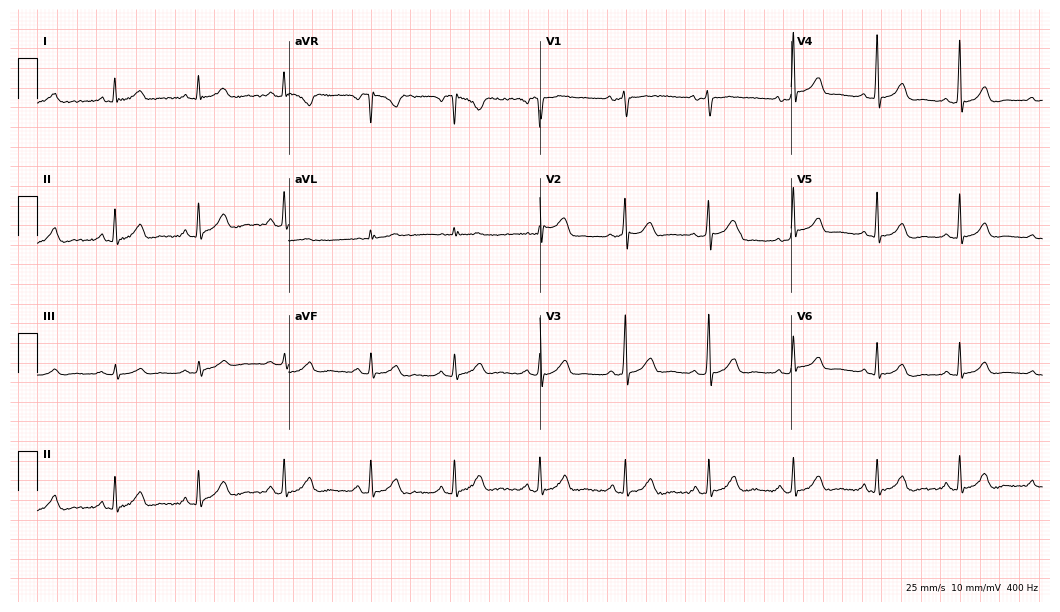
12-lead ECG from a 44-year-old woman (10.2-second recording at 400 Hz). Recorded interpretation: within normal limits.